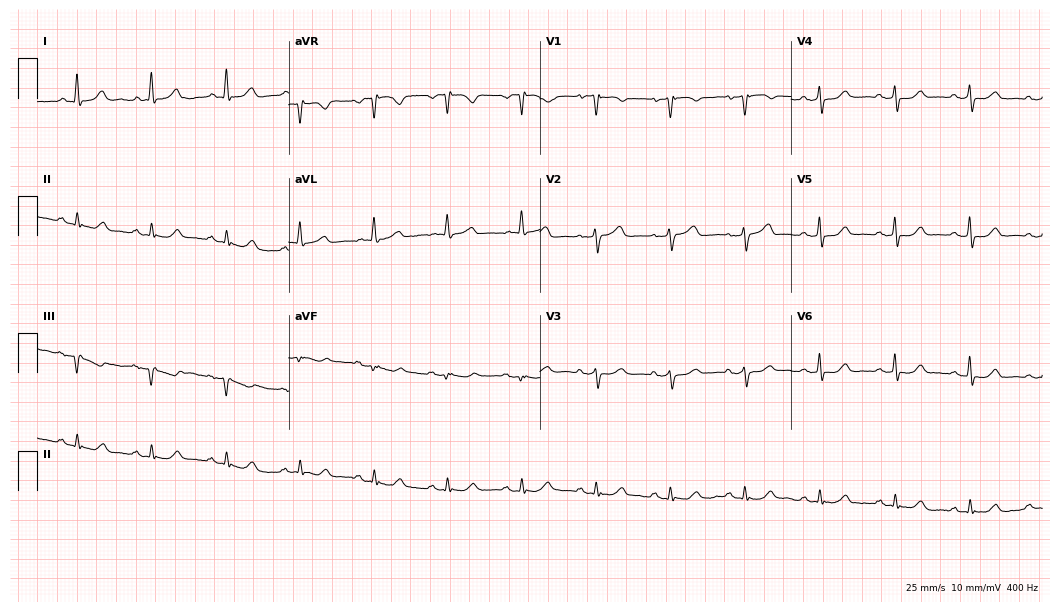
Resting 12-lead electrocardiogram (10.2-second recording at 400 Hz). Patient: a 57-year-old female. Read as a normal ECG.